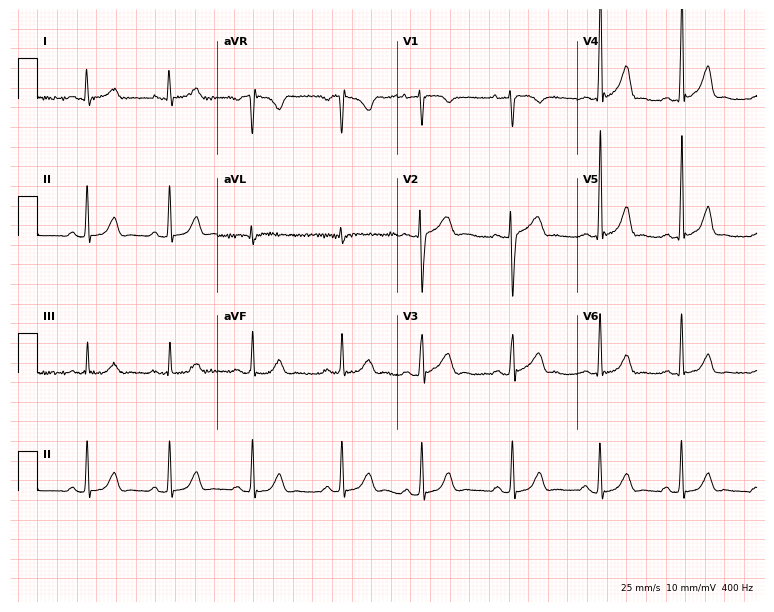
Resting 12-lead electrocardiogram (7.3-second recording at 400 Hz). Patient: a 25-year-old female. None of these six findings is recorded: first-degree AV block, right bundle branch block, left bundle branch block, sinus bradycardia, atrial fibrillation, sinus tachycardia.